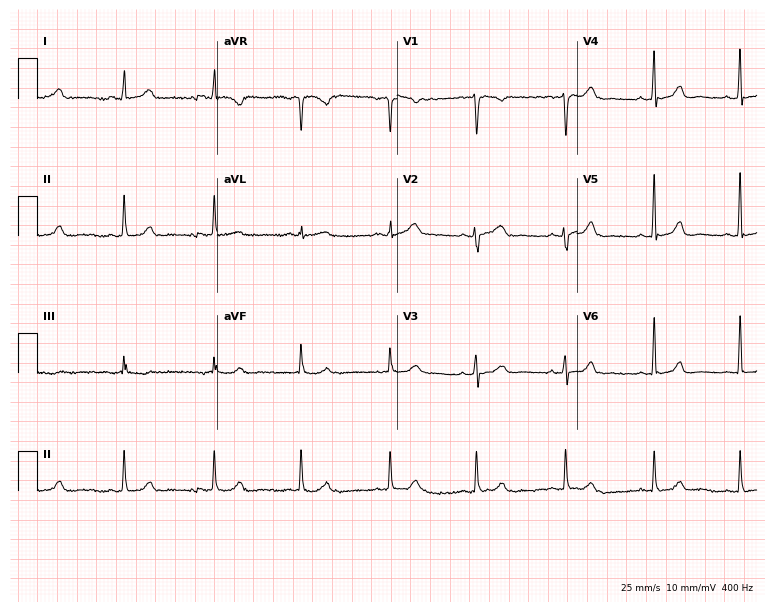
Standard 12-lead ECG recorded from a 46-year-old female (7.3-second recording at 400 Hz). None of these six findings is recorded: first-degree AV block, right bundle branch block (RBBB), left bundle branch block (LBBB), sinus bradycardia, atrial fibrillation (AF), sinus tachycardia. Other findings, if any, are not listed.